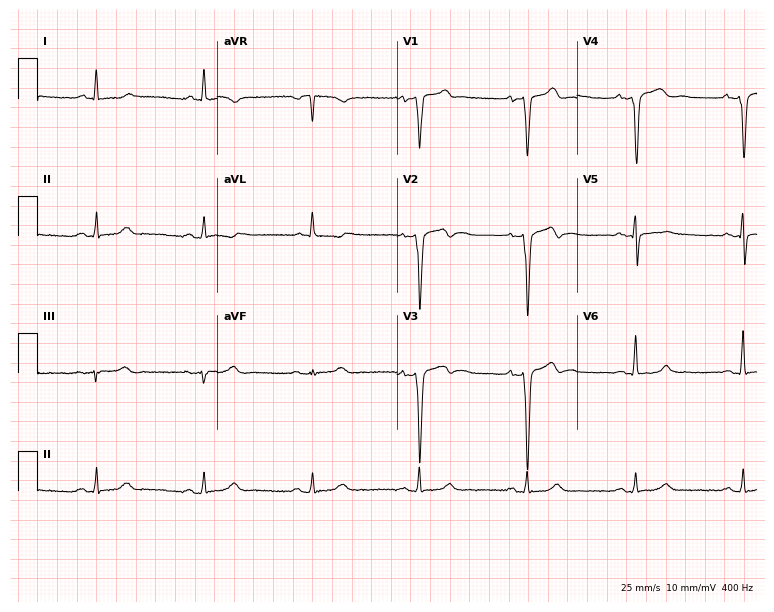
Standard 12-lead ECG recorded from a male, 75 years old (7.3-second recording at 400 Hz). None of these six findings is recorded: first-degree AV block, right bundle branch block (RBBB), left bundle branch block (LBBB), sinus bradycardia, atrial fibrillation (AF), sinus tachycardia. Findings outside these six are not listed.